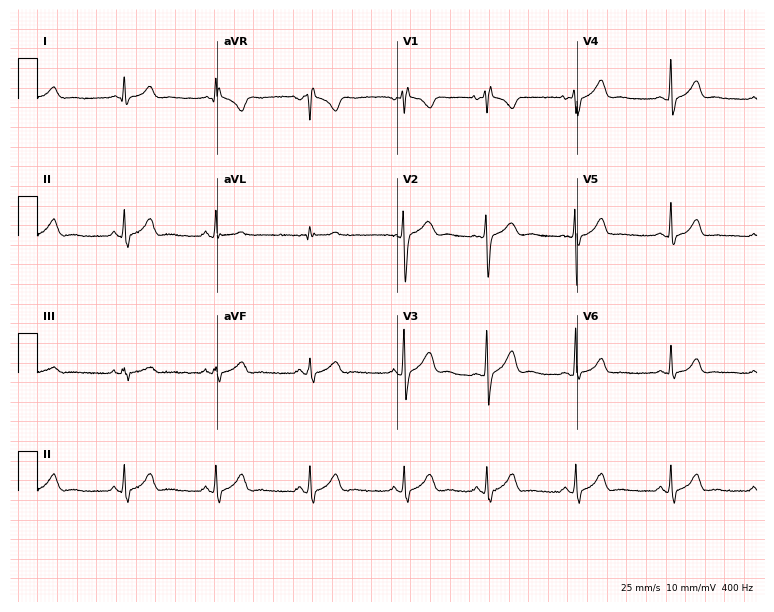
Resting 12-lead electrocardiogram (7.3-second recording at 400 Hz). Patient: a female, 20 years old. None of these six findings is recorded: first-degree AV block, right bundle branch block, left bundle branch block, sinus bradycardia, atrial fibrillation, sinus tachycardia.